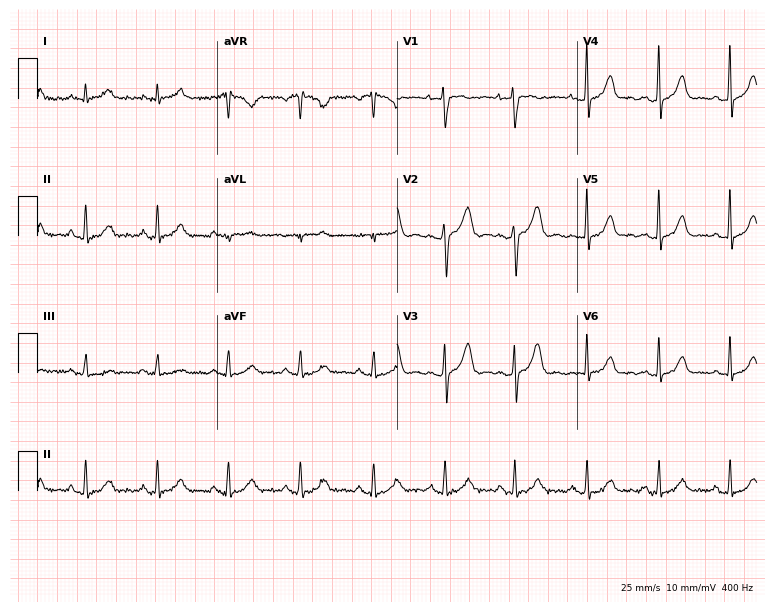
12-lead ECG from a 33-year-old female. Recorded interpretation: within normal limits.